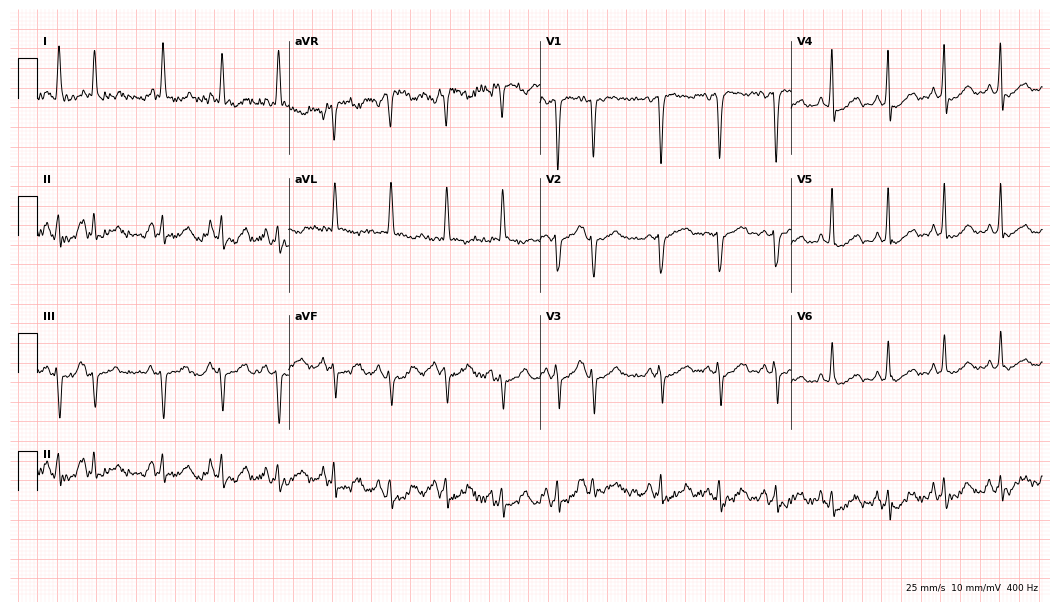
Electrocardiogram (10.2-second recording at 400 Hz), a woman, 82 years old. Of the six screened findings (first-degree AV block, right bundle branch block, left bundle branch block, sinus bradycardia, atrial fibrillation, sinus tachycardia), none is recorded.